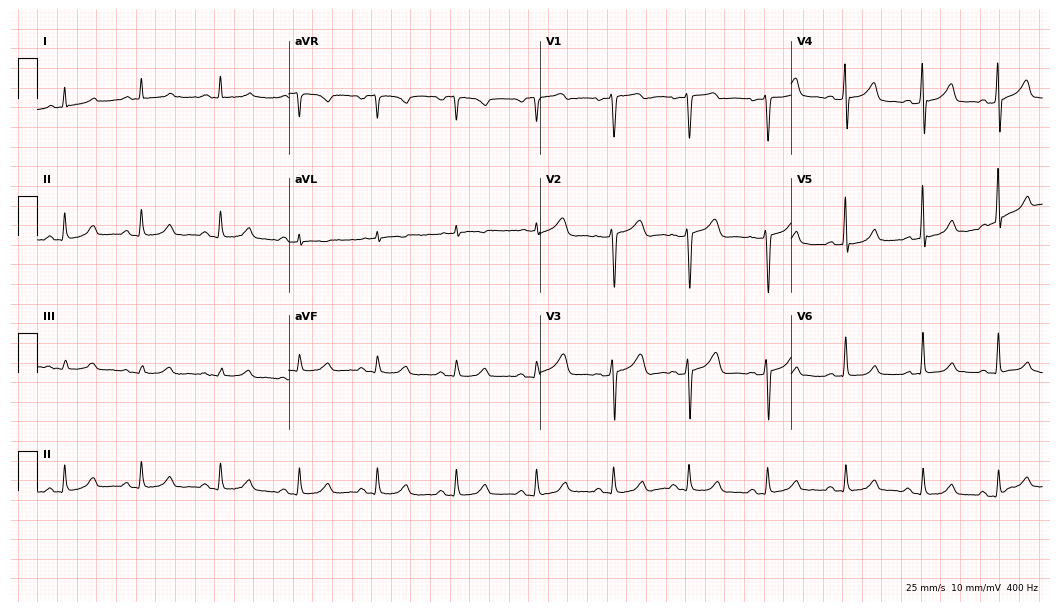
12-lead ECG from a 48-year-old female patient (10.2-second recording at 400 Hz). No first-degree AV block, right bundle branch block, left bundle branch block, sinus bradycardia, atrial fibrillation or sinus tachycardia recorded for this tracing.